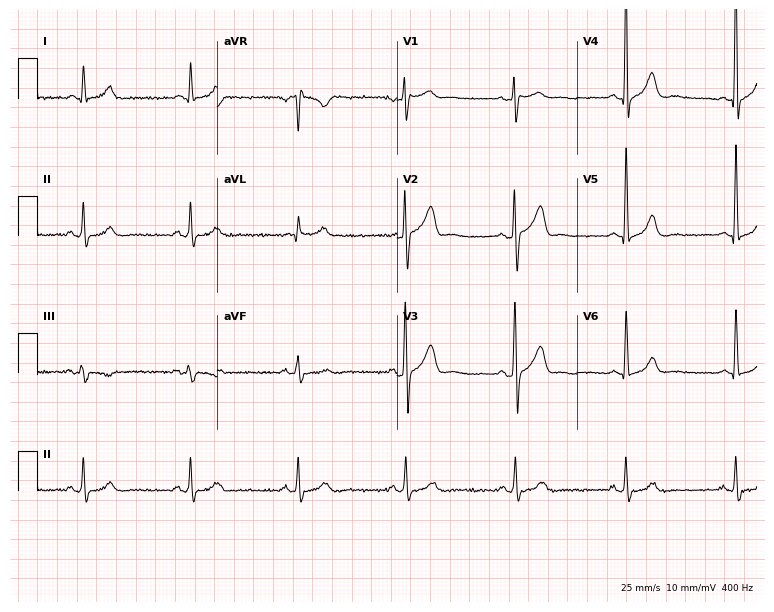
ECG (7.3-second recording at 400 Hz) — a 65-year-old man. Labelled as a normal ECG.